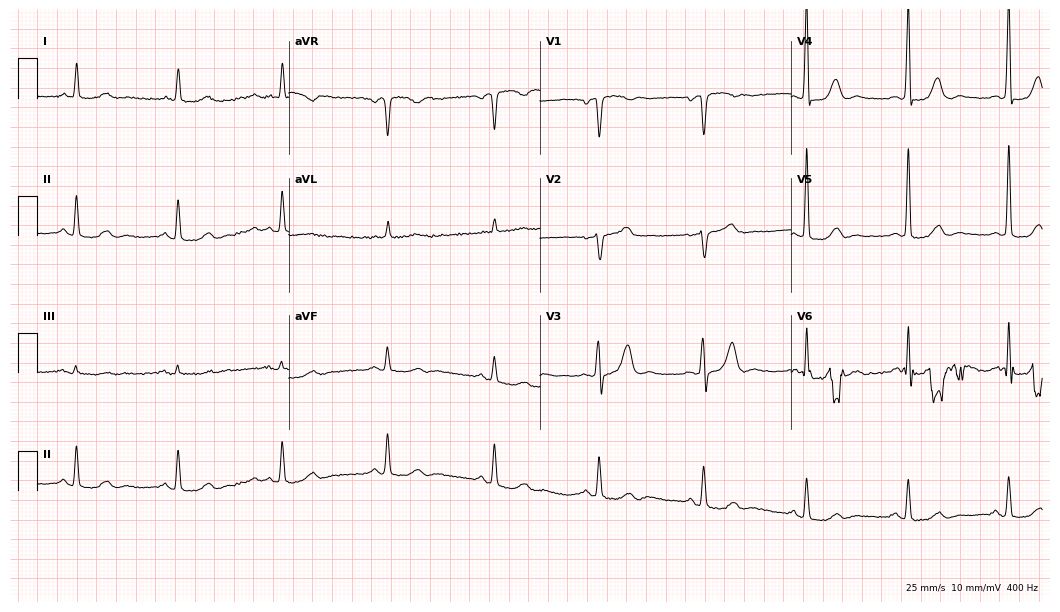
12-lead ECG (10.2-second recording at 400 Hz) from a 77-year-old male. Screened for six findings — first-degree AV block, right bundle branch block (RBBB), left bundle branch block (LBBB), sinus bradycardia, atrial fibrillation (AF), sinus tachycardia — none is recorded. Findings outside these six are not listed.